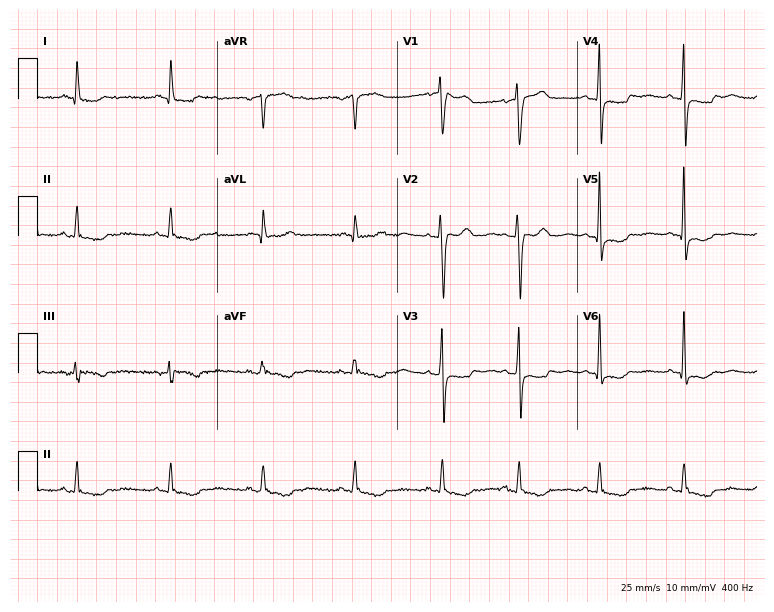
Electrocardiogram (7.3-second recording at 400 Hz), a 70-year-old female patient. Of the six screened findings (first-degree AV block, right bundle branch block (RBBB), left bundle branch block (LBBB), sinus bradycardia, atrial fibrillation (AF), sinus tachycardia), none is recorded.